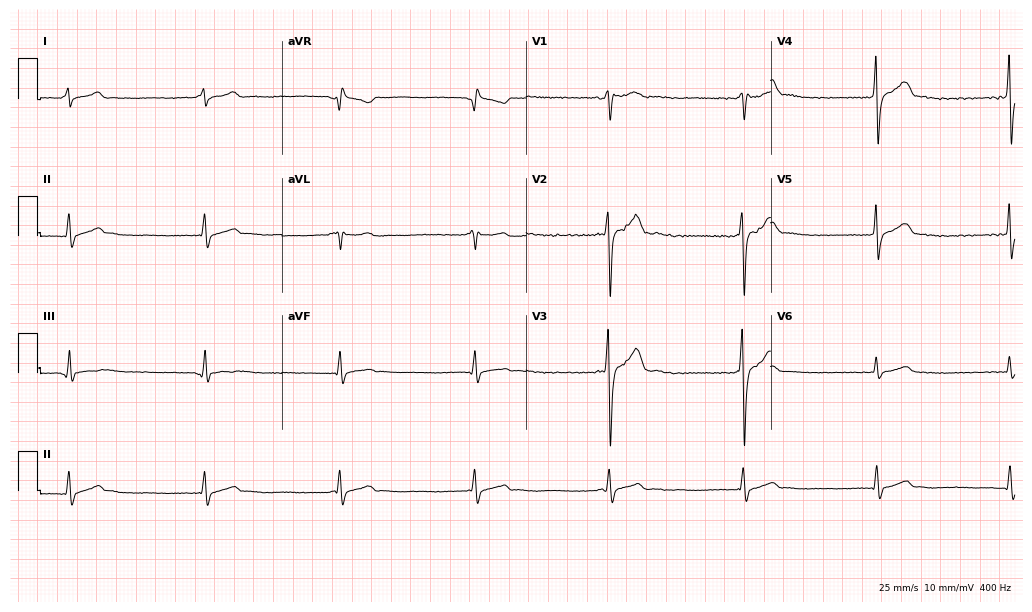
Electrocardiogram, a male patient, 24 years old. Of the six screened findings (first-degree AV block, right bundle branch block, left bundle branch block, sinus bradycardia, atrial fibrillation, sinus tachycardia), none is recorded.